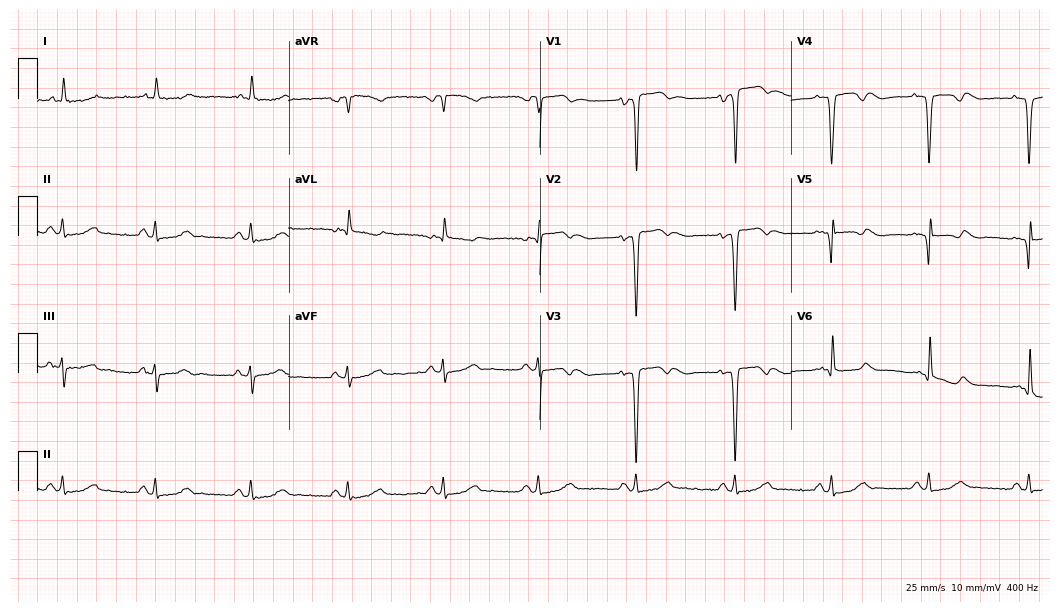
Standard 12-lead ECG recorded from a 66-year-old male patient. None of these six findings is recorded: first-degree AV block, right bundle branch block, left bundle branch block, sinus bradycardia, atrial fibrillation, sinus tachycardia.